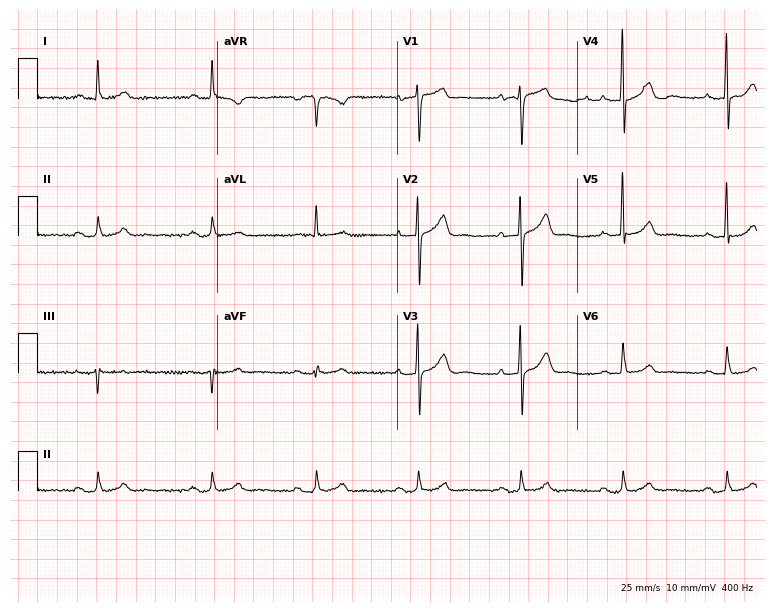
Standard 12-lead ECG recorded from a 62-year-old male patient (7.3-second recording at 400 Hz). The tracing shows first-degree AV block.